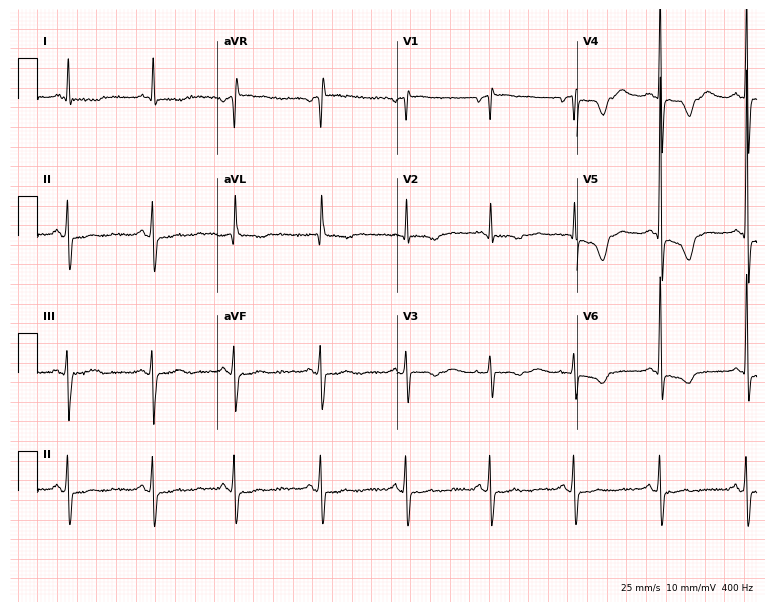
ECG — a 72-year-old woman. Screened for six findings — first-degree AV block, right bundle branch block (RBBB), left bundle branch block (LBBB), sinus bradycardia, atrial fibrillation (AF), sinus tachycardia — none is recorded. Other findings, if any, are not listed.